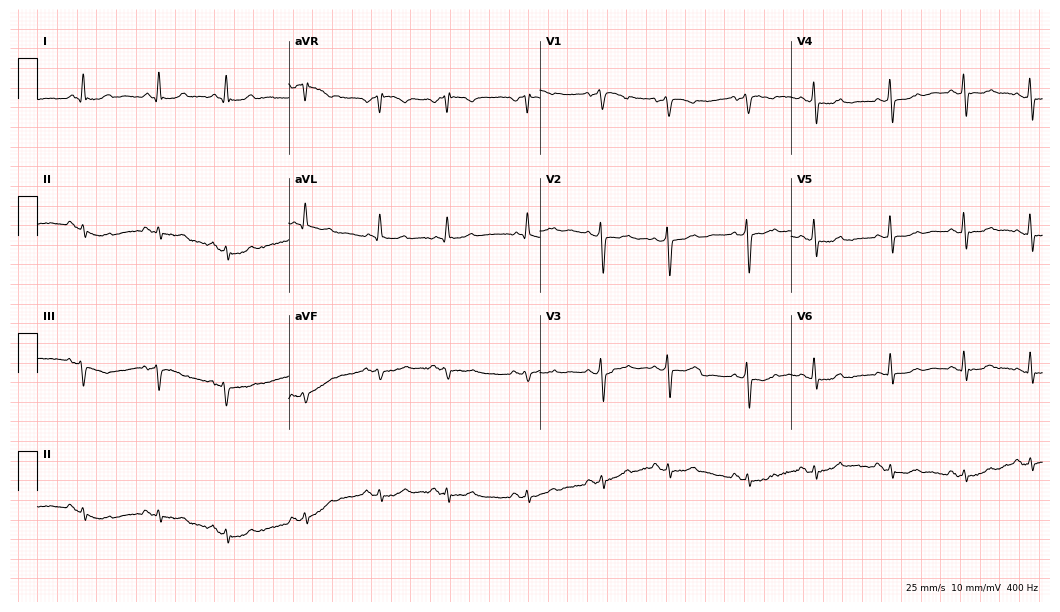
ECG (10.2-second recording at 400 Hz) — a 79-year-old female. Screened for six findings — first-degree AV block, right bundle branch block (RBBB), left bundle branch block (LBBB), sinus bradycardia, atrial fibrillation (AF), sinus tachycardia — none is recorded.